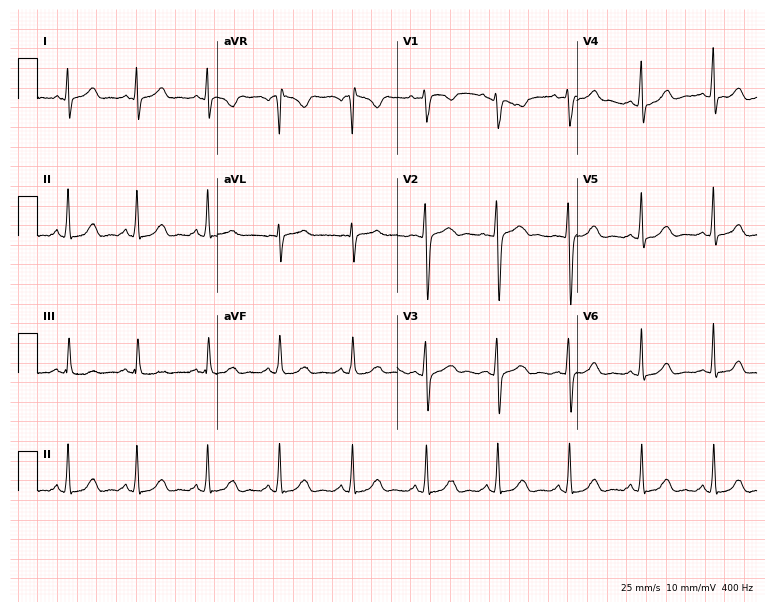
12-lead ECG (7.3-second recording at 400 Hz) from a 19-year-old female patient. Labelled as a normal ECG.